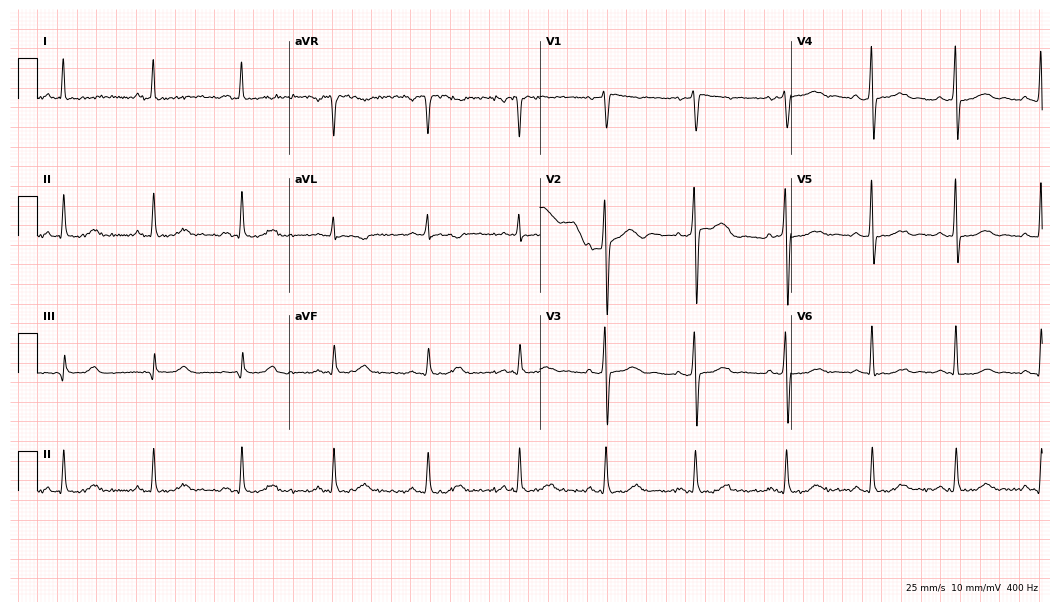
Resting 12-lead electrocardiogram (10.2-second recording at 400 Hz). Patient: a 42-year-old female. None of these six findings is recorded: first-degree AV block, right bundle branch block (RBBB), left bundle branch block (LBBB), sinus bradycardia, atrial fibrillation (AF), sinus tachycardia. Findings outside these six are not listed.